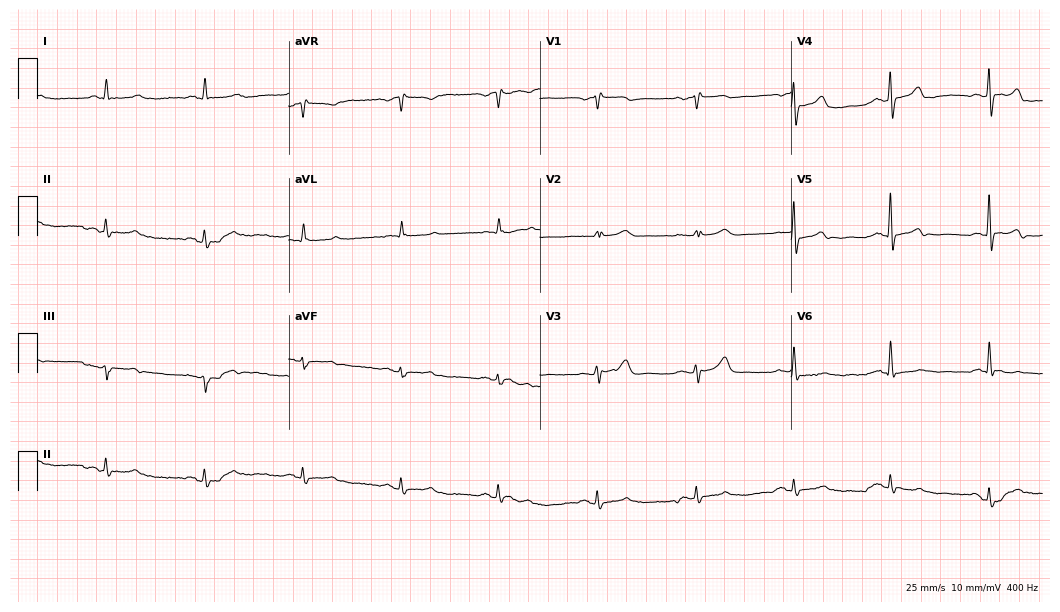
Electrocardiogram (10.2-second recording at 400 Hz), a male, 75 years old. Overall reading on record: normal ECG.